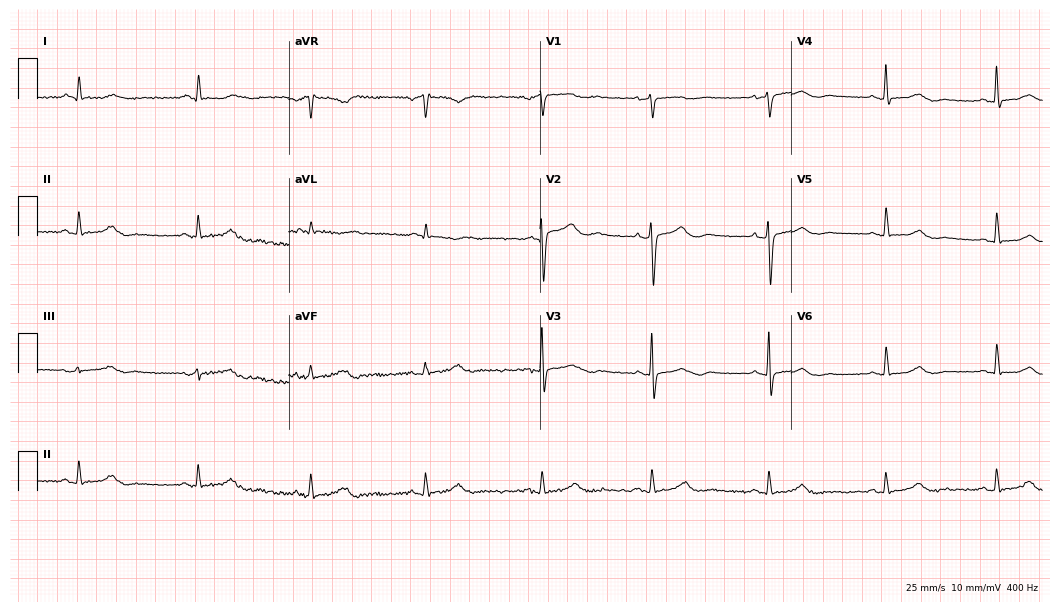
Resting 12-lead electrocardiogram (10.2-second recording at 400 Hz). Patient: a woman, 78 years old. Read as a normal ECG.